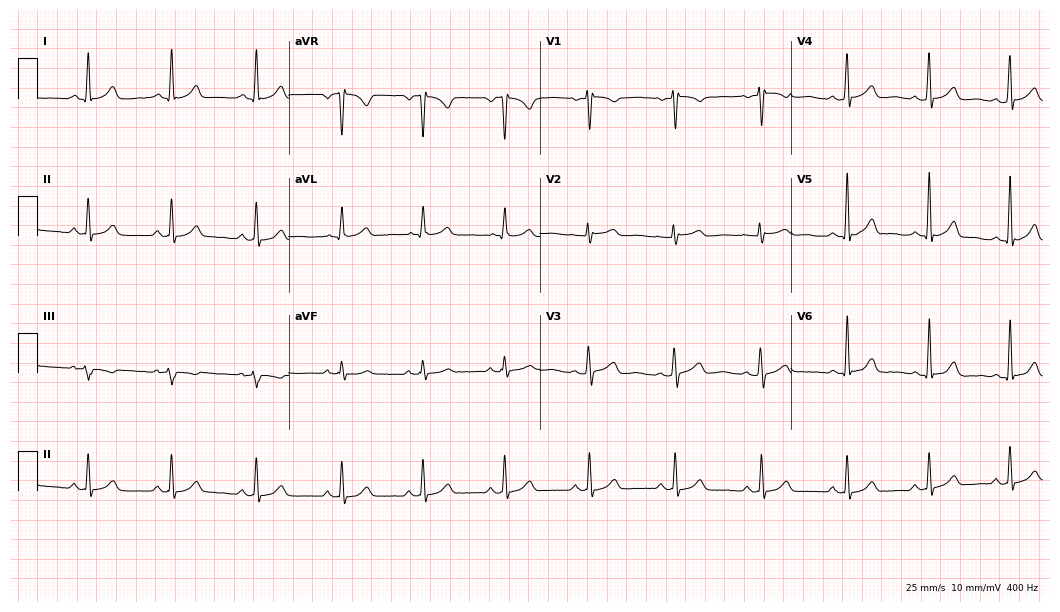
Resting 12-lead electrocardiogram (10.2-second recording at 400 Hz). Patient: a woman, 29 years old. Read as a normal ECG.